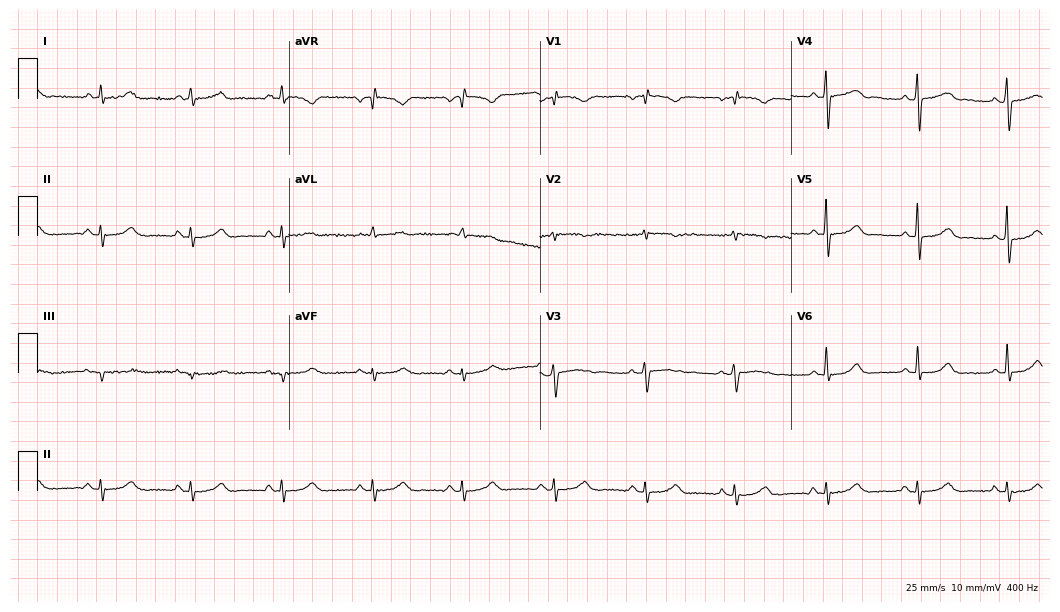
Resting 12-lead electrocardiogram (10.2-second recording at 400 Hz). Patient: a woman, 68 years old. None of these six findings is recorded: first-degree AV block, right bundle branch block, left bundle branch block, sinus bradycardia, atrial fibrillation, sinus tachycardia. Only these six findings were labelled.